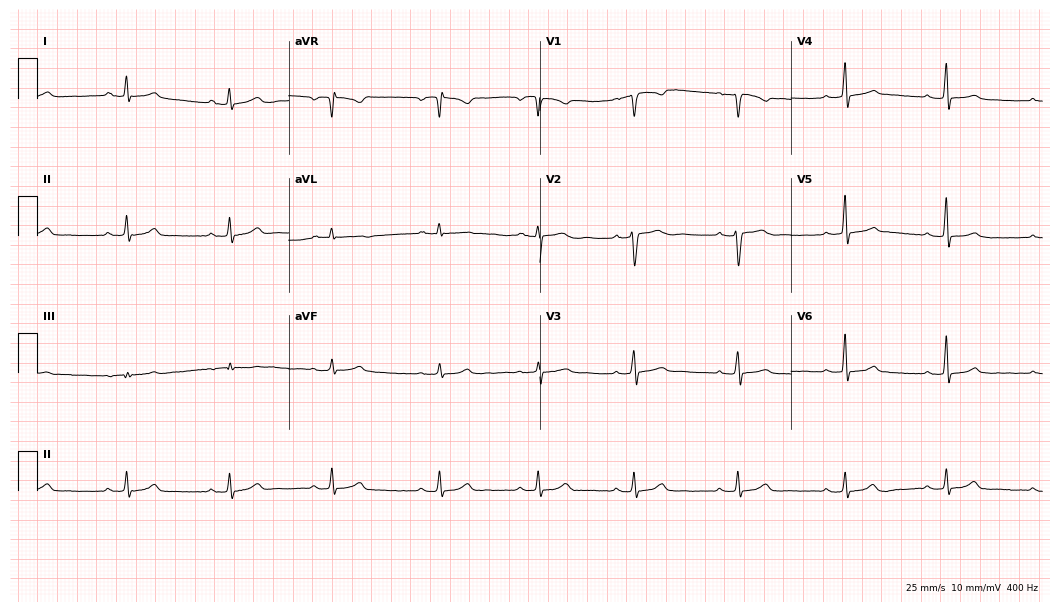
Standard 12-lead ECG recorded from a woman, 39 years old. Read as a normal ECG.